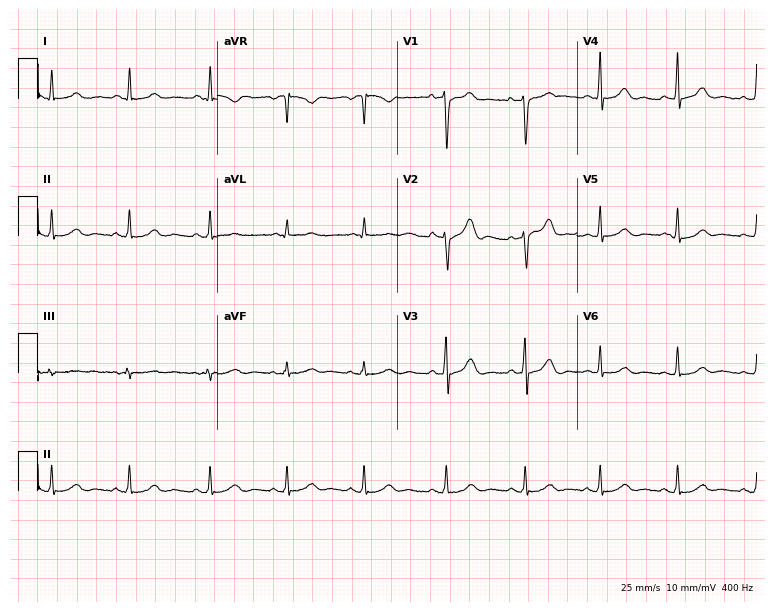
12-lead ECG from a 39-year-old female patient. No first-degree AV block, right bundle branch block, left bundle branch block, sinus bradycardia, atrial fibrillation or sinus tachycardia recorded for this tracing.